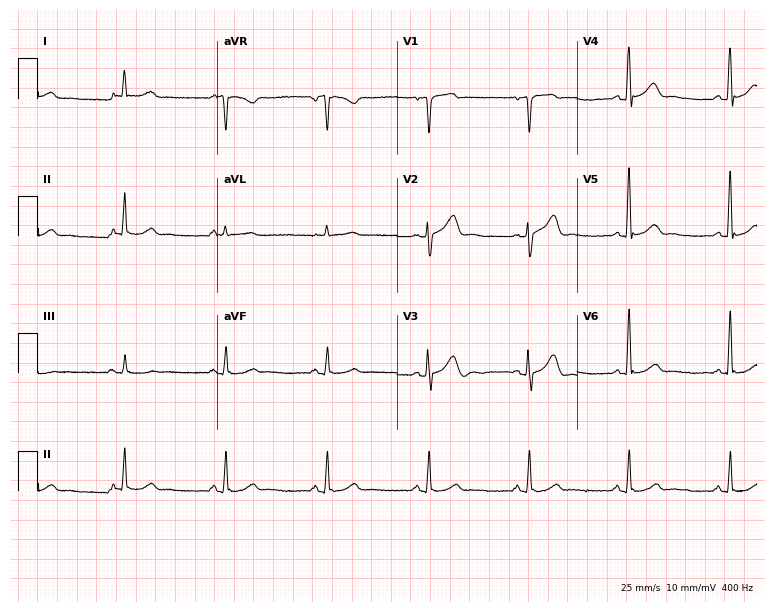
Standard 12-lead ECG recorded from a 54-year-old male patient. Read as a normal ECG.